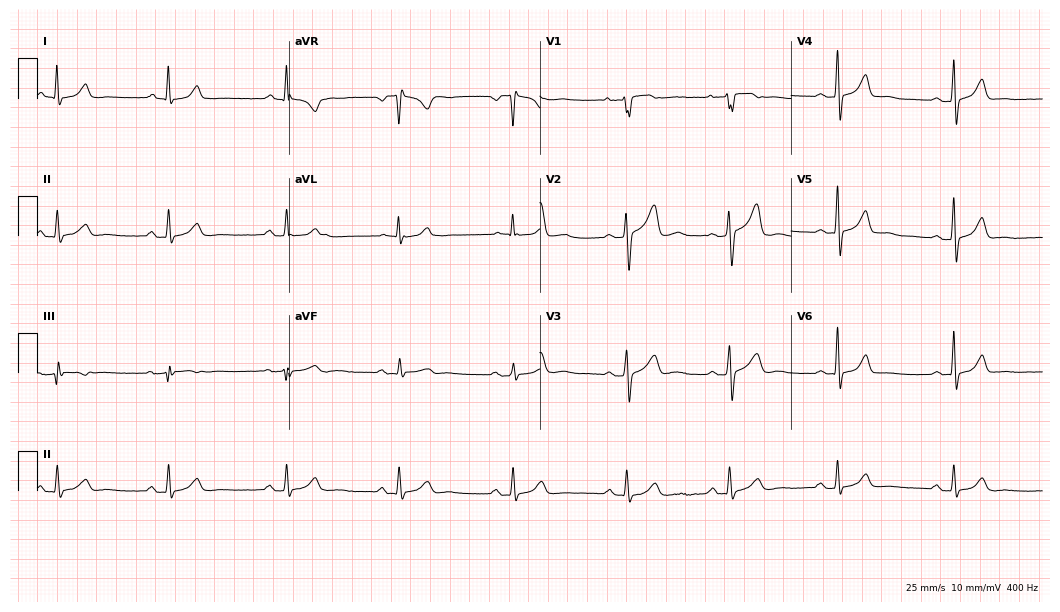
12-lead ECG from a female patient, 40 years old. Recorded interpretation: within normal limits.